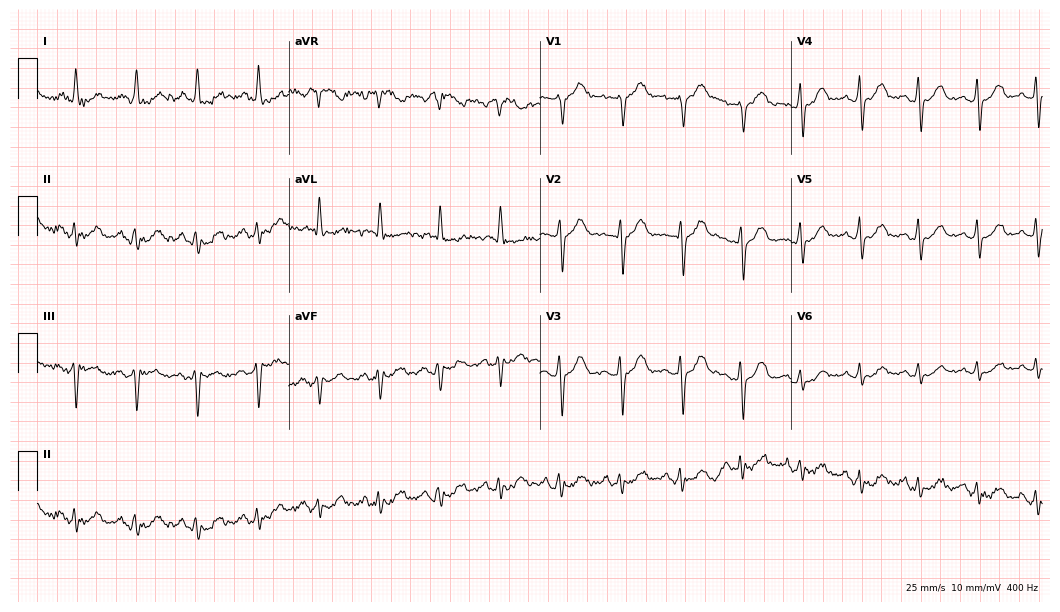
ECG — a 49-year-old man. Screened for six findings — first-degree AV block, right bundle branch block (RBBB), left bundle branch block (LBBB), sinus bradycardia, atrial fibrillation (AF), sinus tachycardia — none is recorded. Only these six findings were labelled.